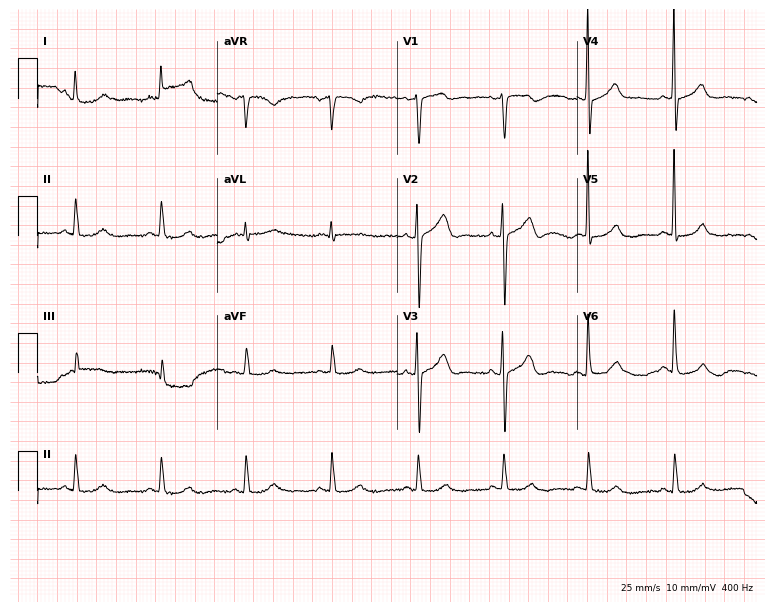
Electrocardiogram, a man, 79 years old. Overall reading on record: normal ECG.